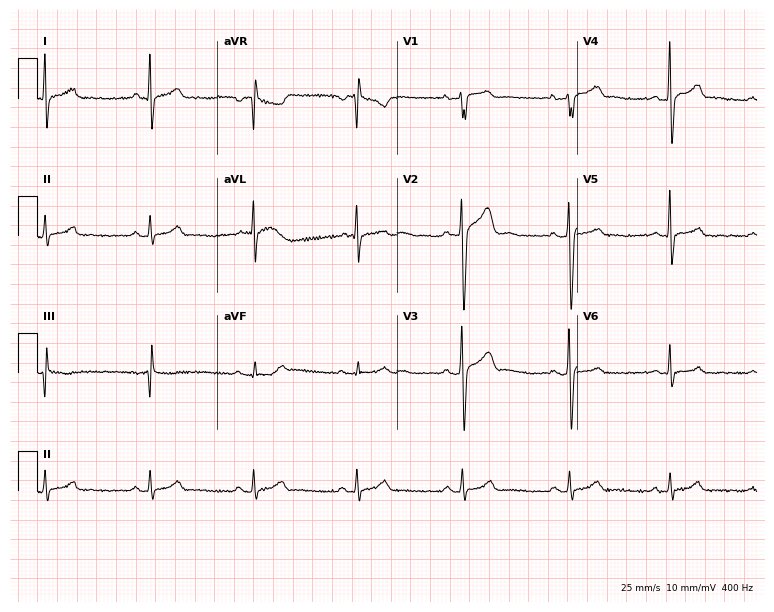
Resting 12-lead electrocardiogram. Patient: a male, 34 years old. None of these six findings is recorded: first-degree AV block, right bundle branch block (RBBB), left bundle branch block (LBBB), sinus bradycardia, atrial fibrillation (AF), sinus tachycardia.